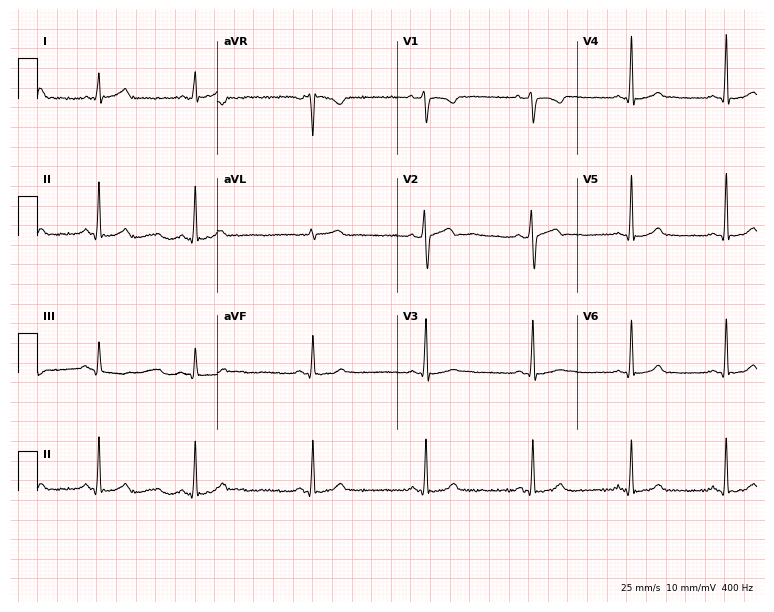
12-lead ECG from a female, 26 years old. Labelled as a normal ECG.